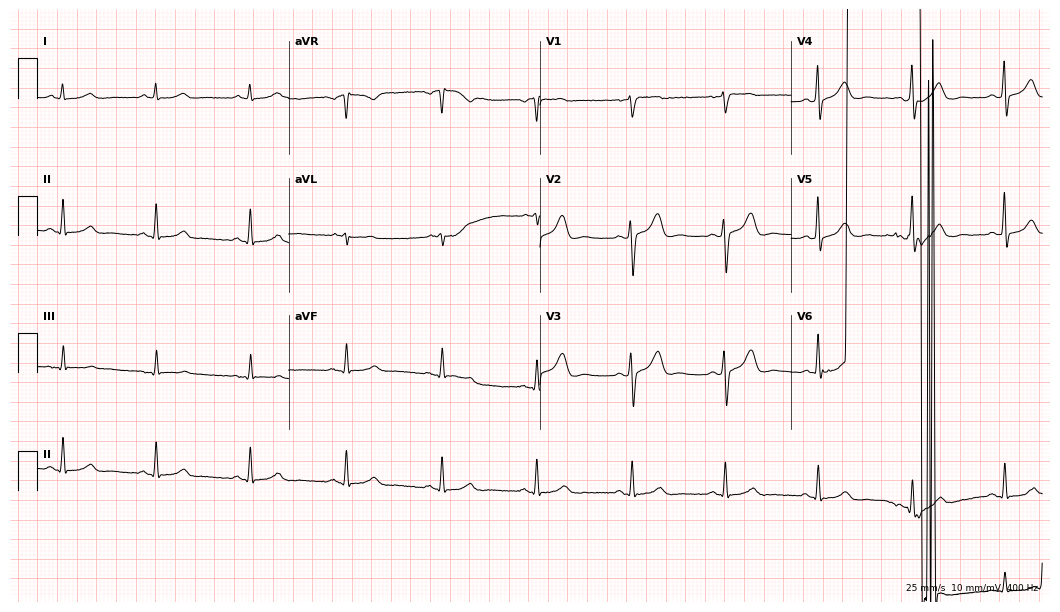
Electrocardiogram (10.2-second recording at 400 Hz), a 36-year-old female patient. Overall reading on record: normal ECG.